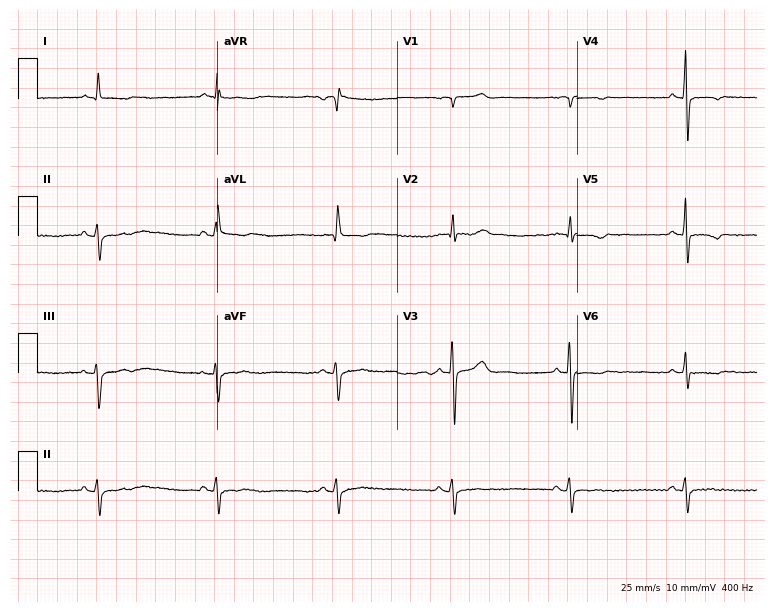
12-lead ECG from an 81-year-old man (7.3-second recording at 400 Hz). Recorded interpretation: within normal limits.